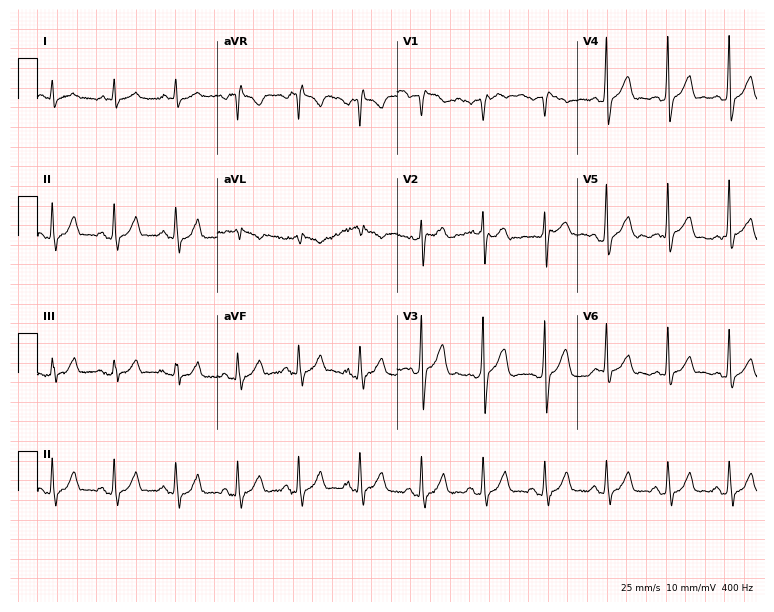
Standard 12-lead ECG recorded from a male patient, 76 years old (7.3-second recording at 400 Hz). None of these six findings is recorded: first-degree AV block, right bundle branch block (RBBB), left bundle branch block (LBBB), sinus bradycardia, atrial fibrillation (AF), sinus tachycardia. Findings outside these six are not listed.